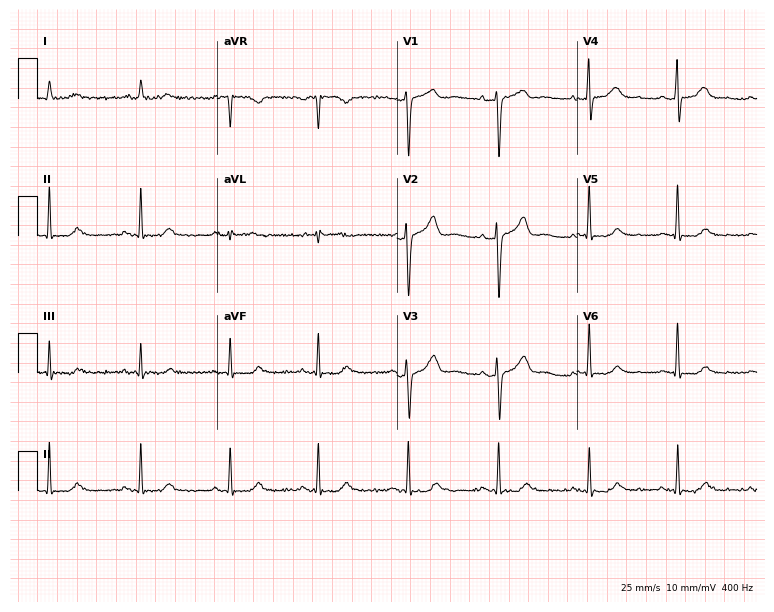
ECG — a female patient, 59 years old. Labelled as a normal ECG.